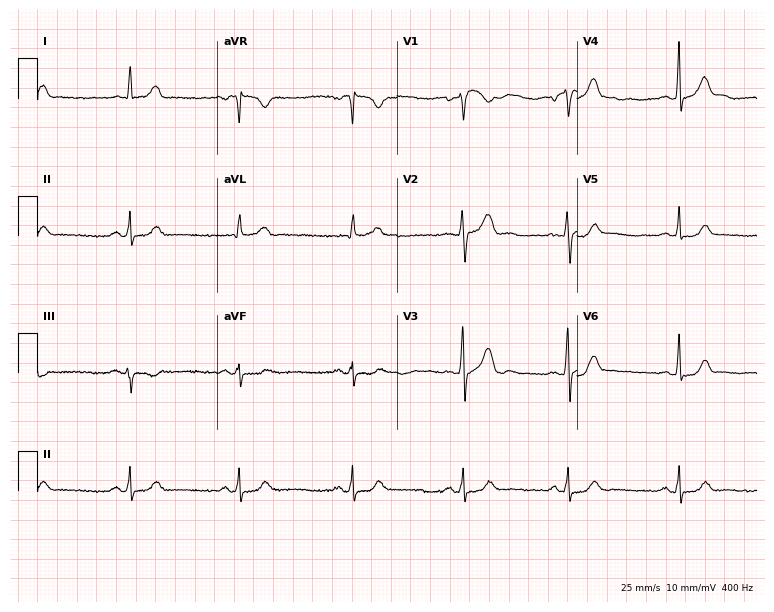
Resting 12-lead electrocardiogram. Patient: a 31-year-old female. Read as a normal ECG.